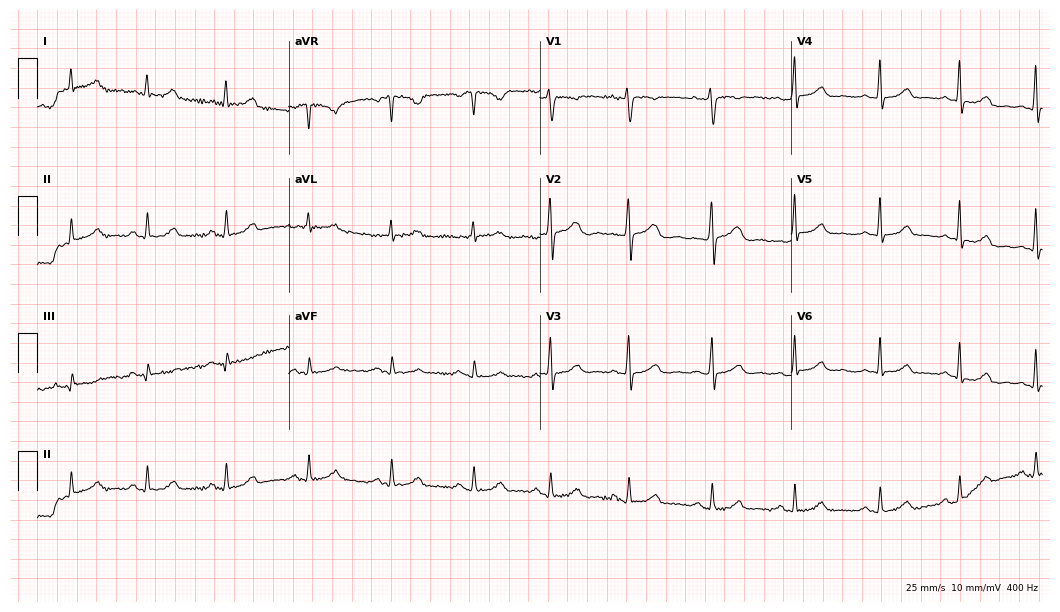
12-lead ECG (10.2-second recording at 400 Hz) from a 44-year-old woman. Labelled as a normal ECG.